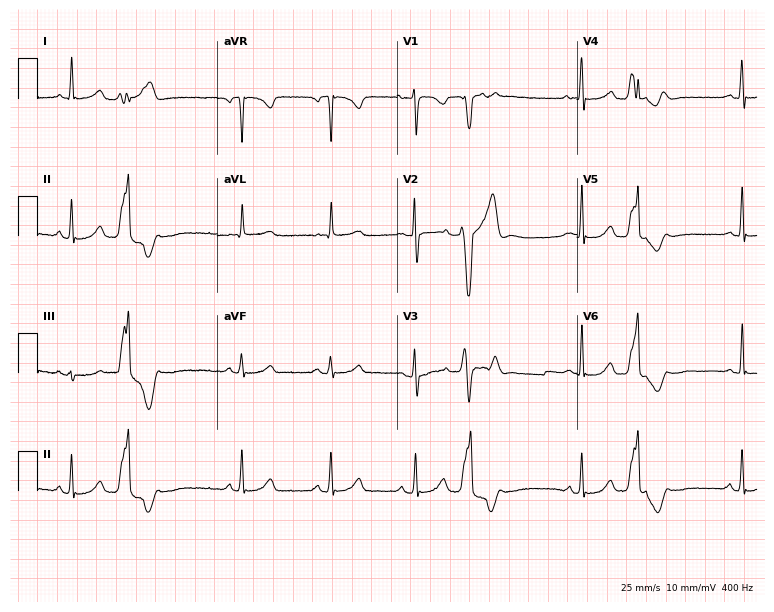
12-lead ECG (7.3-second recording at 400 Hz) from a 26-year-old female. Screened for six findings — first-degree AV block, right bundle branch block, left bundle branch block, sinus bradycardia, atrial fibrillation, sinus tachycardia — none is recorded. Other findings, if any, are not listed.